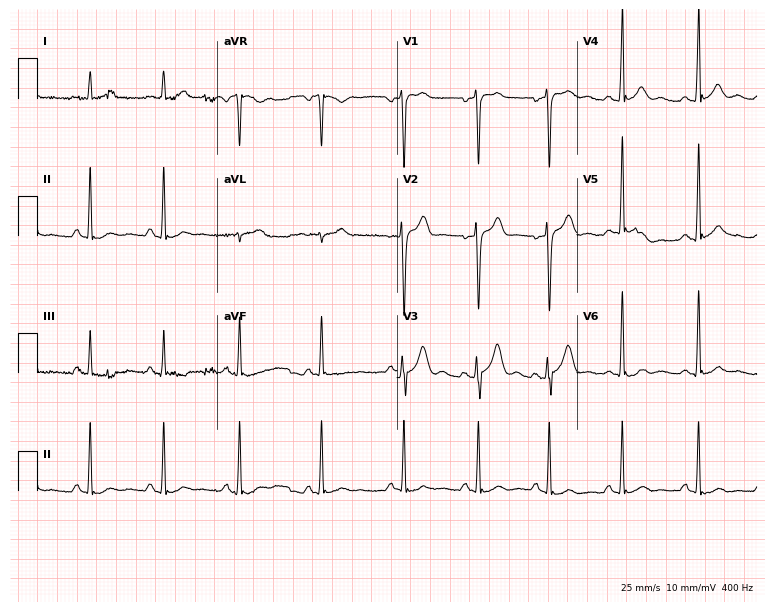
12-lead ECG from a 23-year-old man. Labelled as a normal ECG.